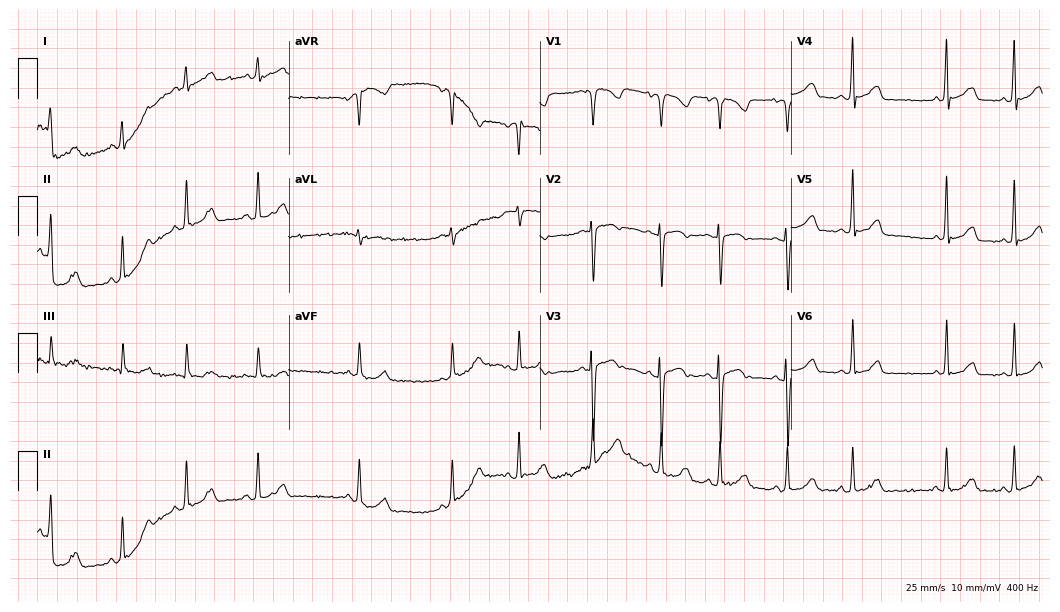
Resting 12-lead electrocardiogram (10.2-second recording at 400 Hz). Patient: an 81-year-old female. Read as a normal ECG.